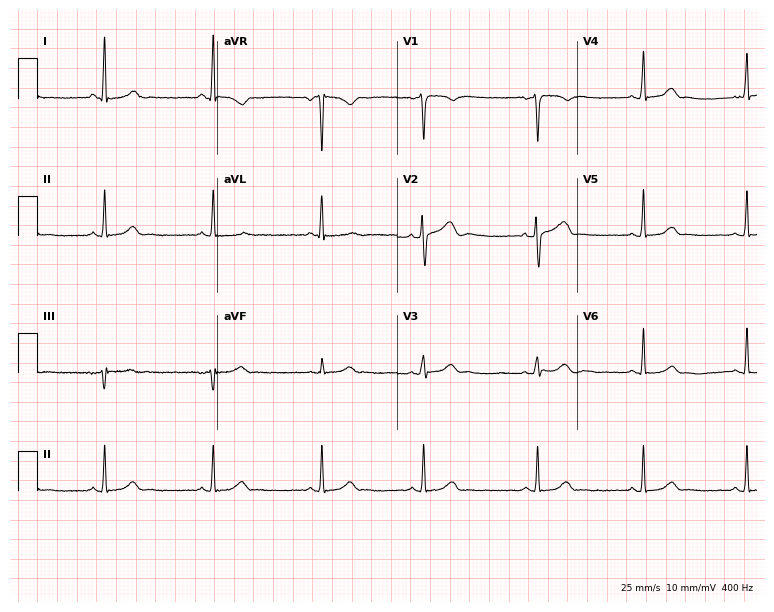
ECG — a 20-year-old female patient. Screened for six findings — first-degree AV block, right bundle branch block, left bundle branch block, sinus bradycardia, atrial fibrillation, sinus tachycardia — none is recorded. Findings outside these six are not listed.